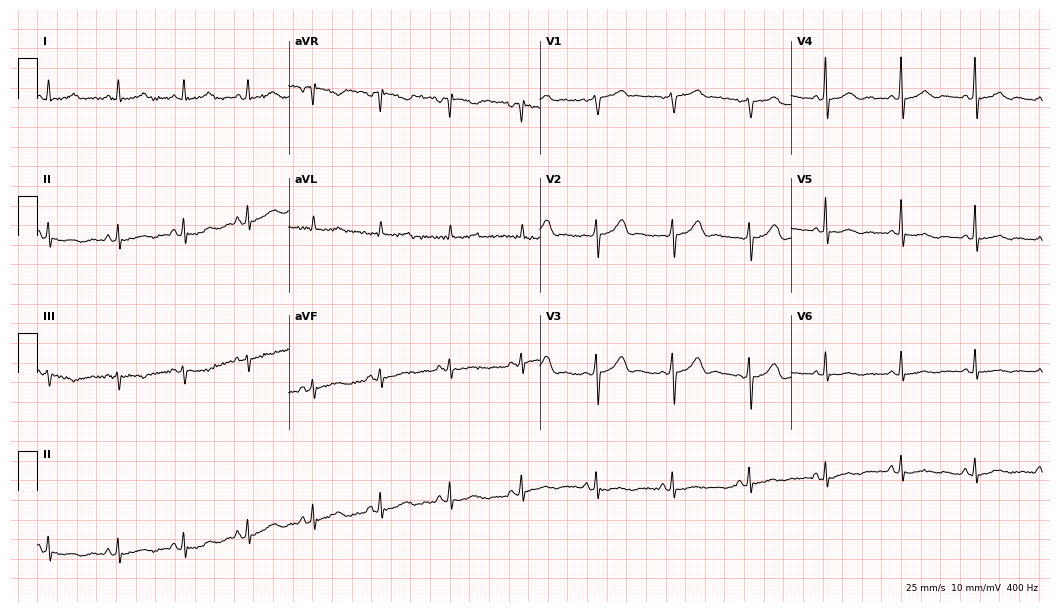
Resting 12-lead electrocardiogram (10.2-second recording at 400 Hz). Patient: a female, 60 years old. None of these six findings is recorded: first-degree AV block, right bundle branch block, left bundle branch block, sinus bradycardia, atrial fibrillation, sinus tachycardia.